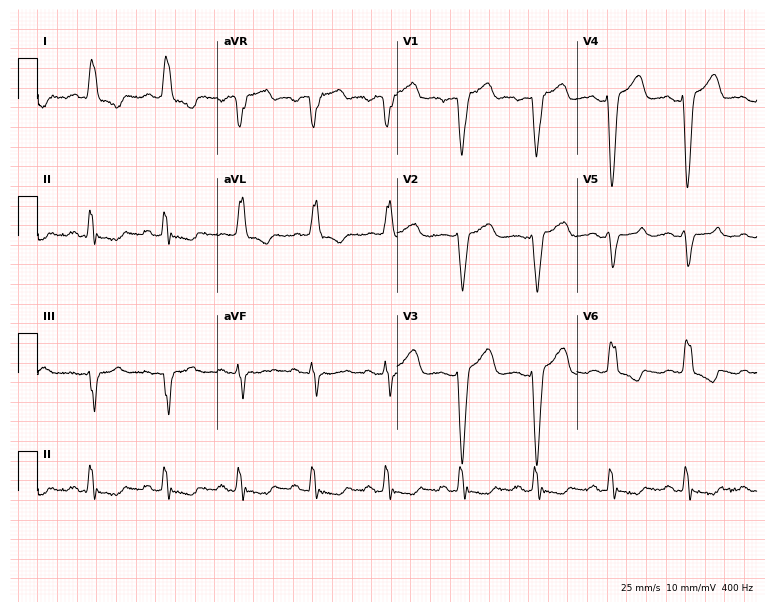
Resting 12-lead electrocardiogram. Patient: a 76-year-old woman. The tracing shows left bundle branch block.